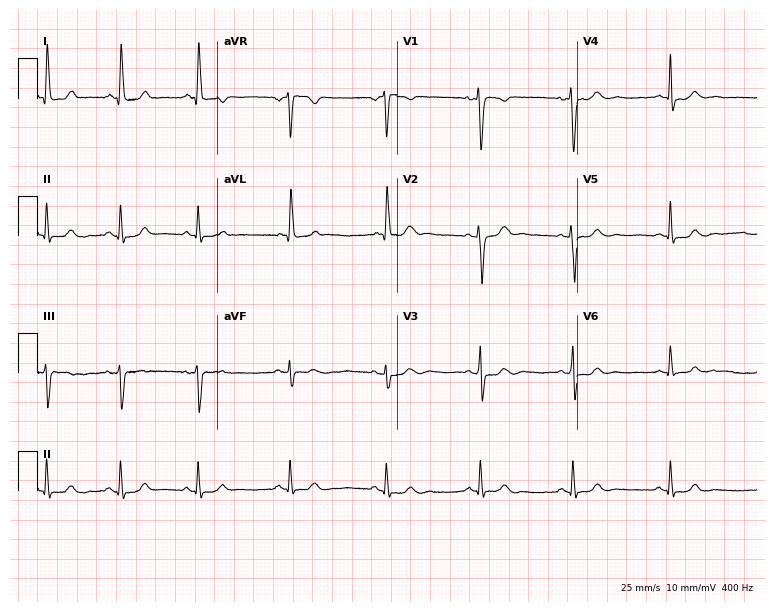
12-lead ECG from a woman, 46 years old. Labelled as a normal ECG.